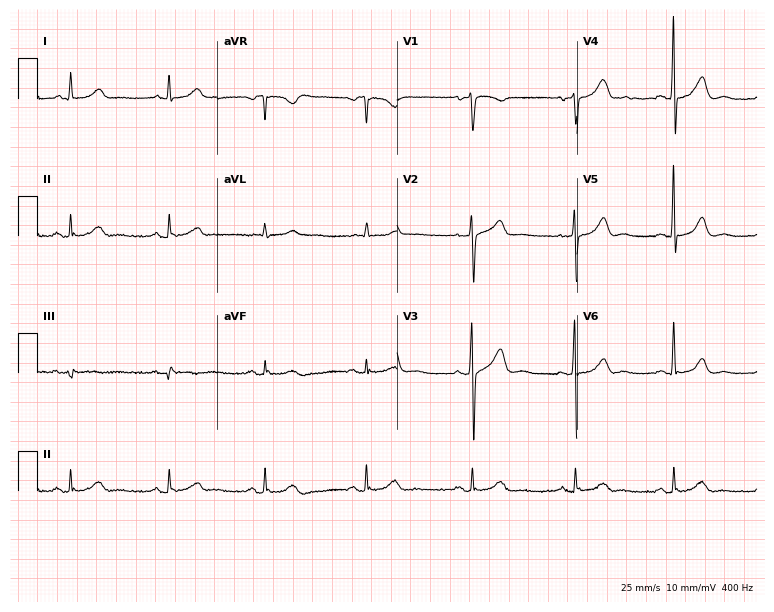
12-lead ECG from a 57-year-old man. Labelled as a normal ECG.